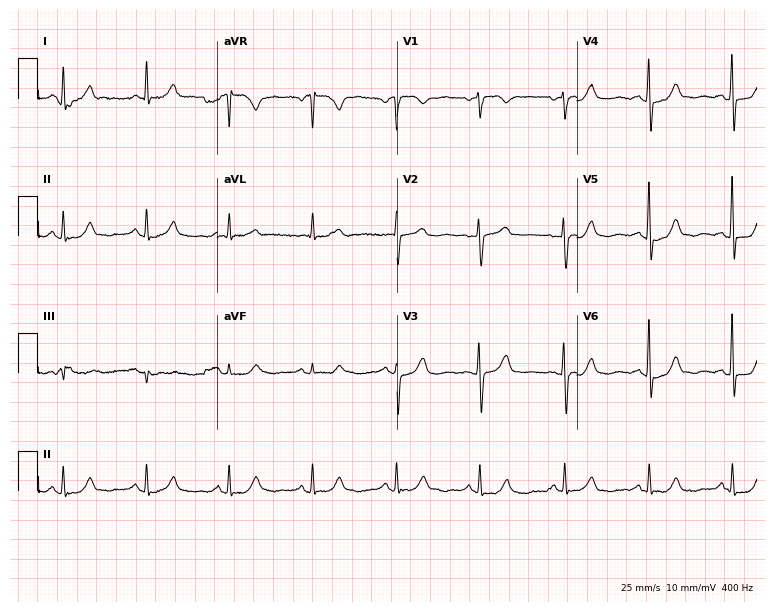
ECG (7.3-second recording at 400 Hz) — a 63-year-old female. Screened for six findings — first-degree AV block, right bundle branch block, left bundle branch block, sinus bradycardia, atrial fibrillation, sinus tachycardia — none is recorded.